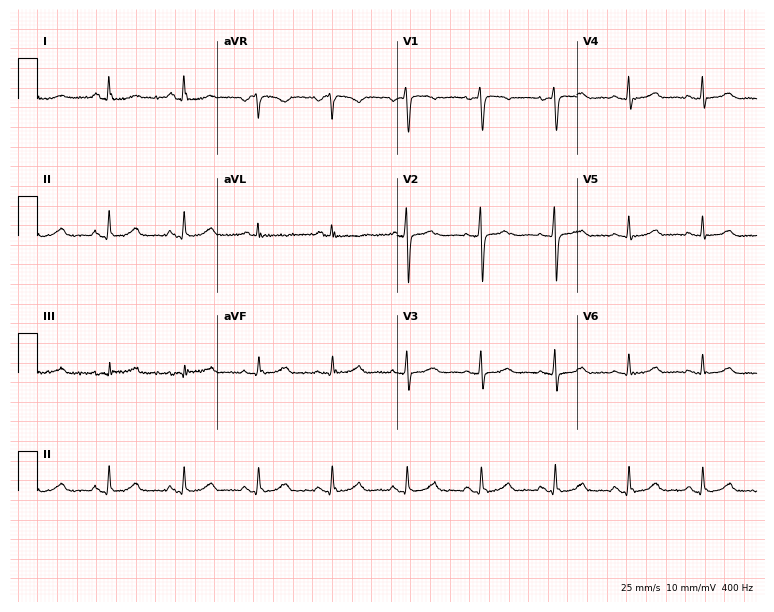
12-lead ECG from a female, 43 years old. No first-degree AV block, right bundle branch block, left bundle branch block, sinus bradycardia, atrial fibrillation or sinus tachycardia recorded for this tracing. Findings outside these six are not listed.